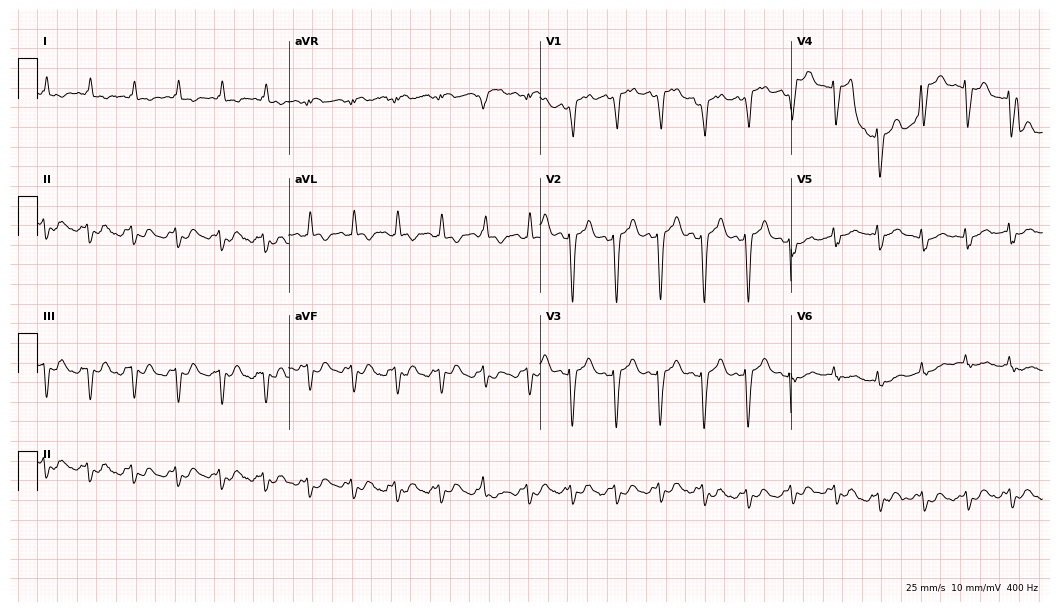
Standard 12-lead ECG recorded from a man, 85 years old. None of these six findings is recorded: first-degree AV block, right bundle branch block (RBBB), left bundle branch block (LBBB), sinus bradycardia, atrial fibrillation (AF), sinus tachycardia. Only these six findings were labelled.